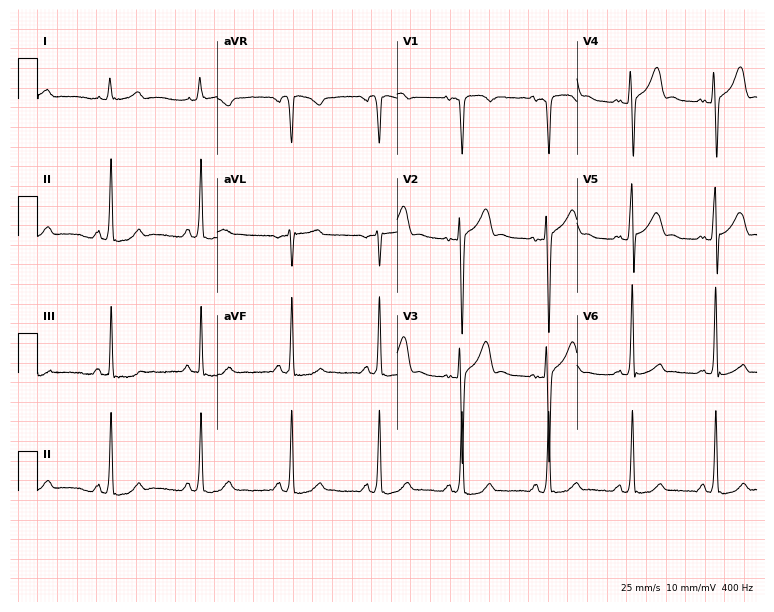
12-lead ECG (7.3-second recording at 400 Hz) from a 23-year-old female. Screened for six findings — first-degree AV block, right bundle branch block, left bundle branch block, sinus bradycardia, atrial fibrillation, sinus tachycardia — none is recorded. Only these six findings were labelled.